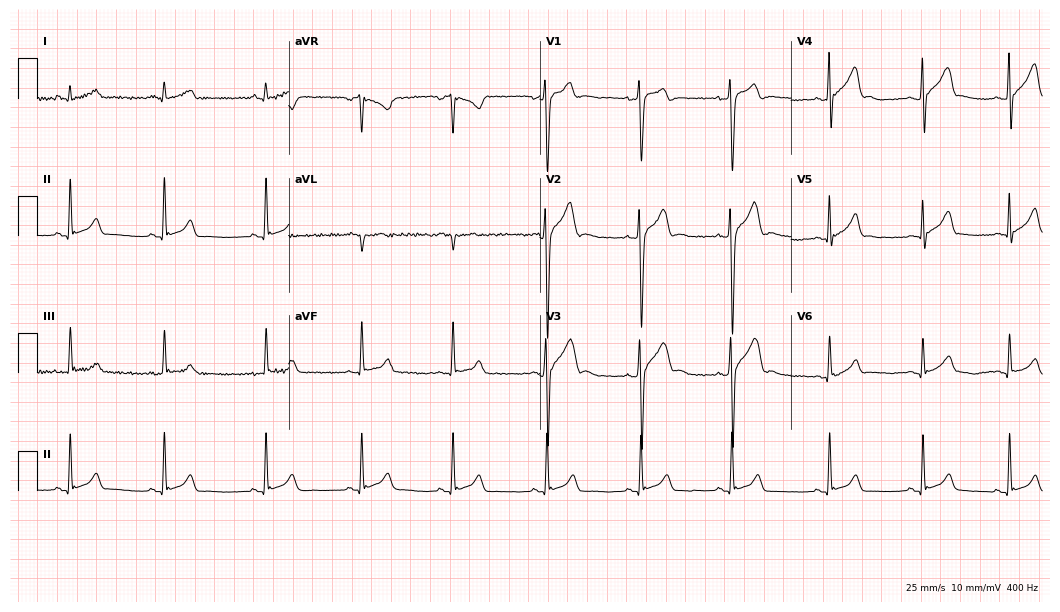
Electrocardiogram, a 19-year-old male patient. Of the six screened findings (first-degree AV block, right bundle branch block, left bundle branch block, sinus bradycardia, atrial fibrillation, sinus tachycardia), none is recorded.